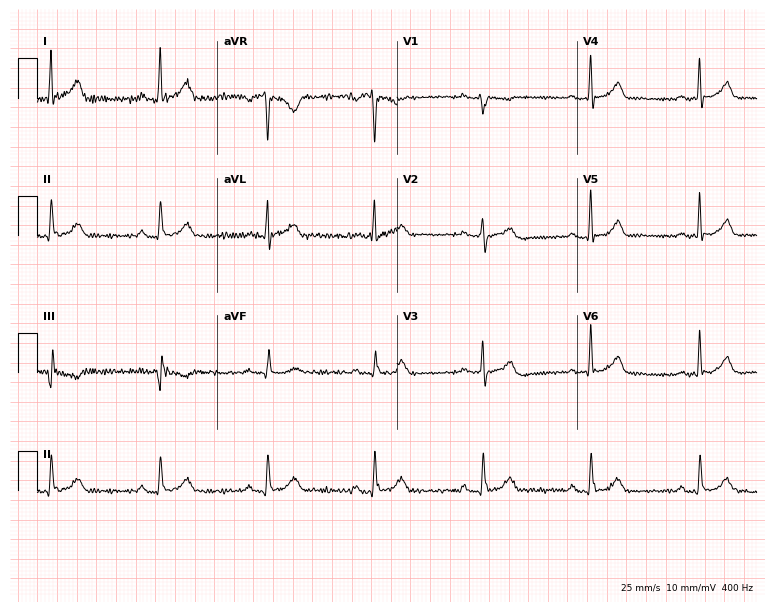
12-lead ECG from a male patient, 46 years old. No first-degree AV block, right bundle branch block (RBBB), left bundle branch block (LBBB), sinus bradycardia, atrial fibrillation (AF) or sinus tachycardia recorded for this tracing.